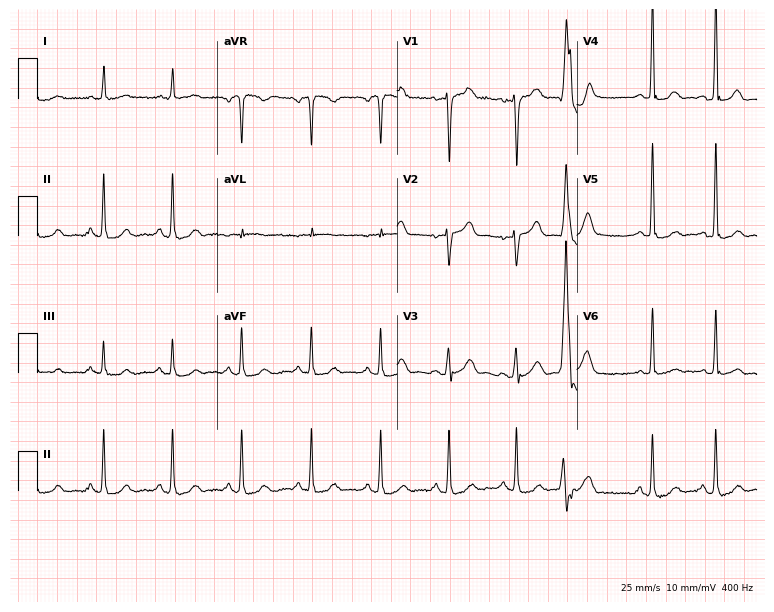
Resting 12-lead electrocardiogram. Patient: a male, 71 years old. None of these six findings is recorded: first-degree AV block, right bundle branch block, left bundle branch block, sinus bradycardia, atrial fibrillation, sinus tachycardia. Other findings, if any, are not listed.